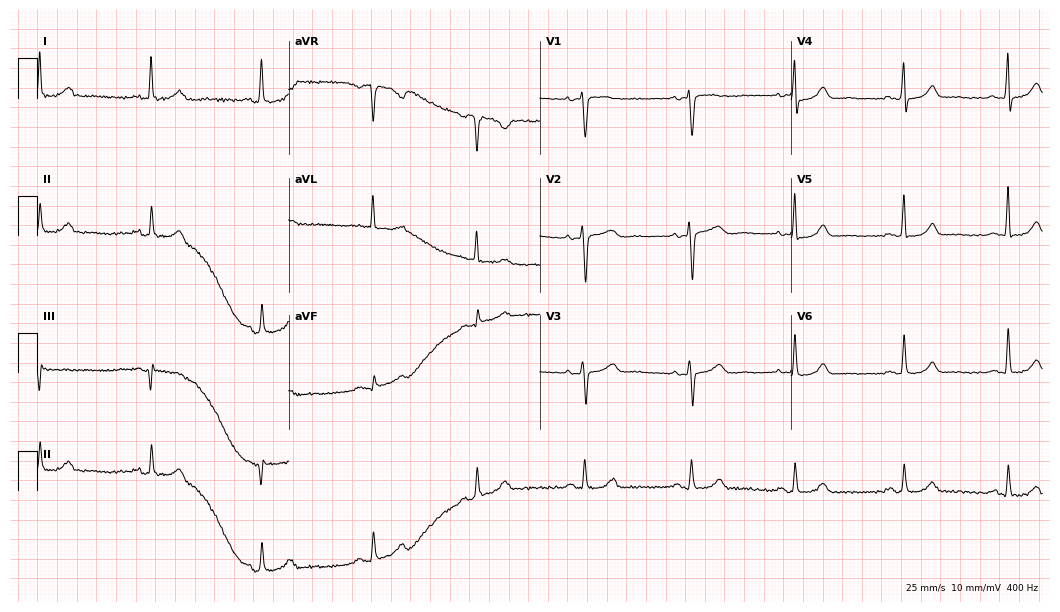
ECG — a woman, 55 years old. Labelled as a normal ECG.